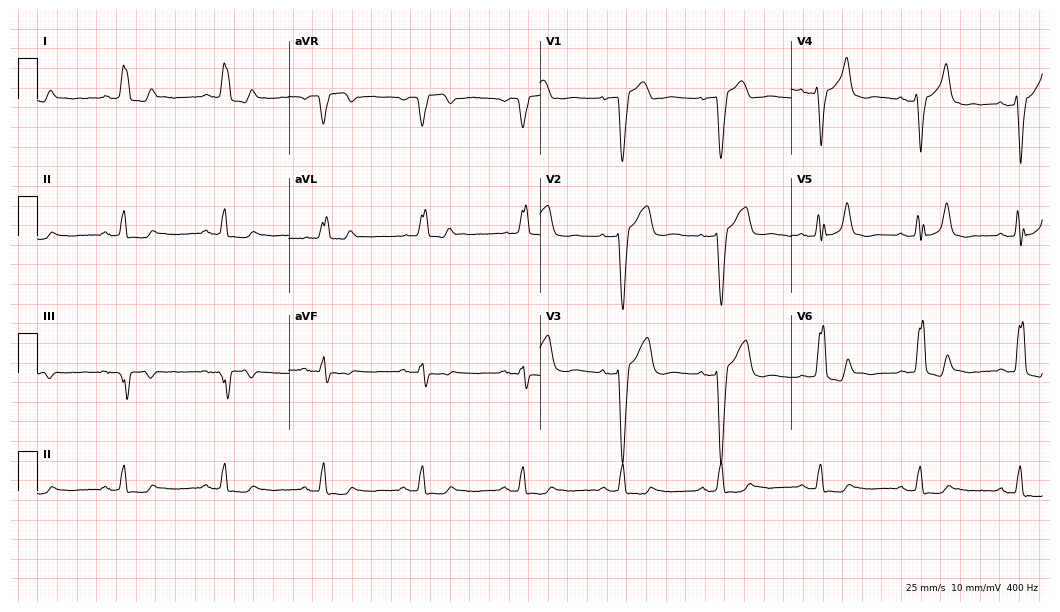
Electrocardiogram (10.2-second recording at 400 Hz), an 80-year-old male. Interpretation includes left bundle branch block.